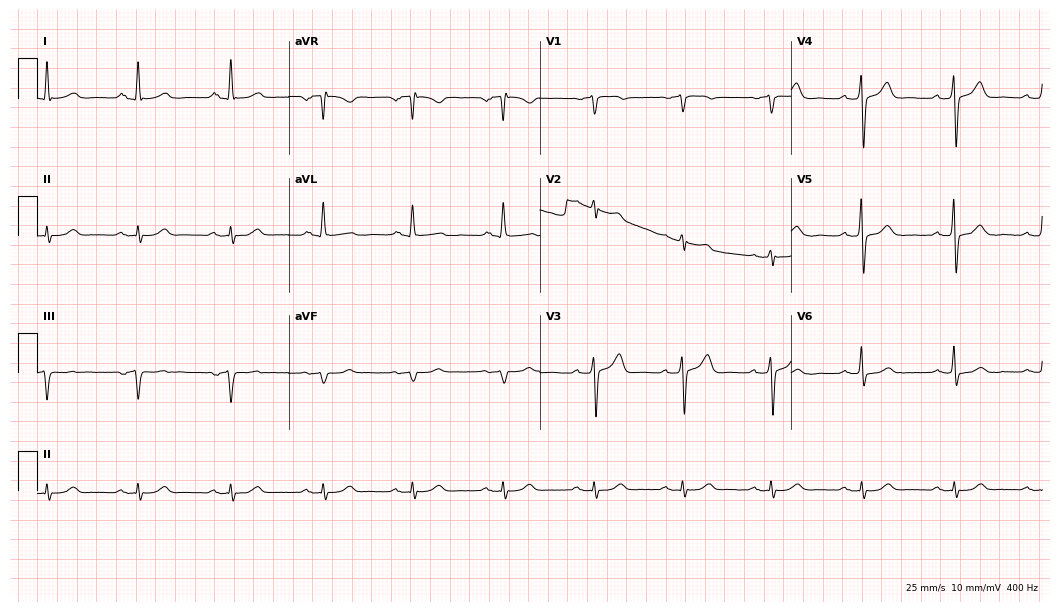
Electrocardiogram (10.2-second recording at 400 Hz), a man, 46 years old. Of the six screened findings (first-degree AV block, right bundle branch block, left bundle branch block, sinus bradycardia, atrial fibrillation, sinus tachycardia), none is recorded. Only these six findings were labelled.